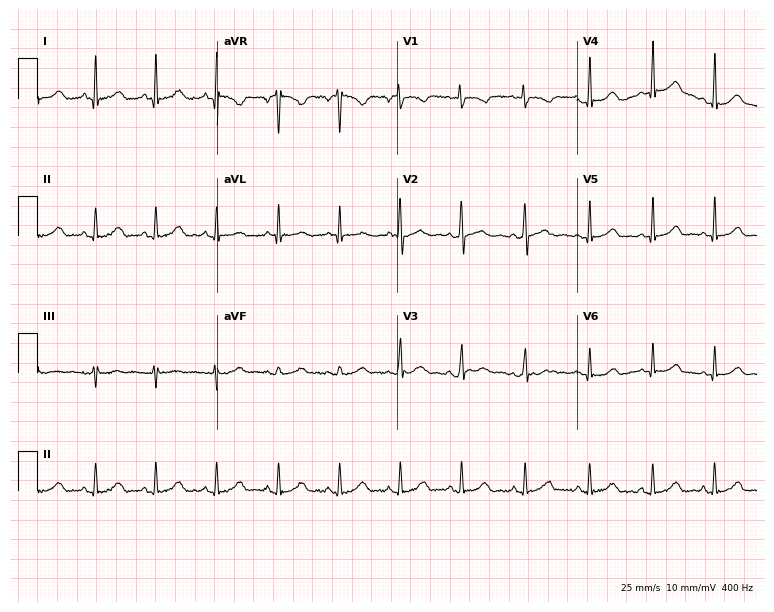
12-lead ECG from a female patient, 42 years old (7.3-second recording at 400 Hz). Recorded interpretation: within normal limits.